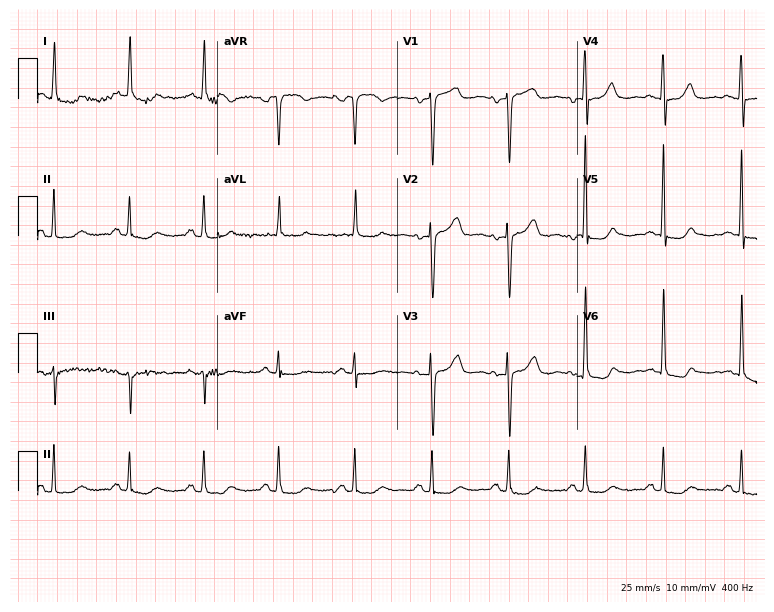
Resting 12-lead electrocardiogram. Patient: an 85-year-old female. None of these six findings is recorded: first-degree AV block, right bundle branch block, left bundle branch block, sinus bradycardia, atrial fibrillation, sinus tachycardia.